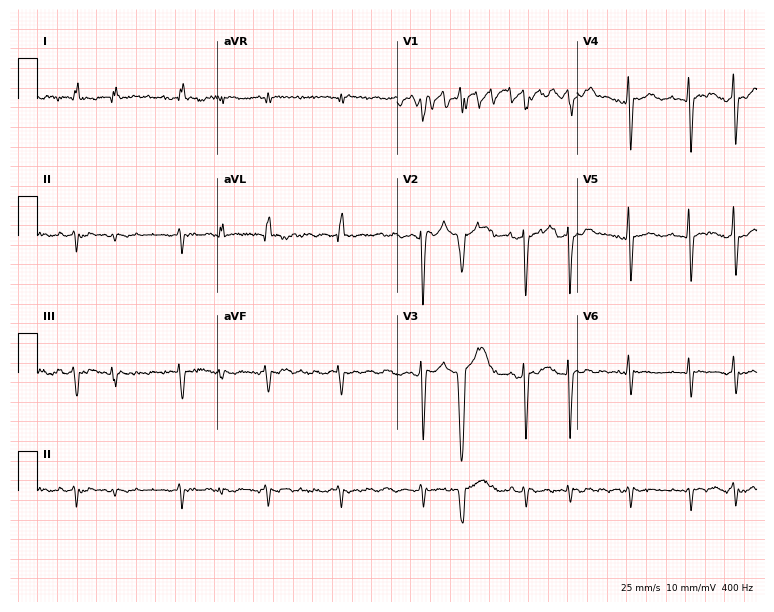
Electrocardiogram, a female patient, 76 years old. Interpretation includes atrial fibrillation.